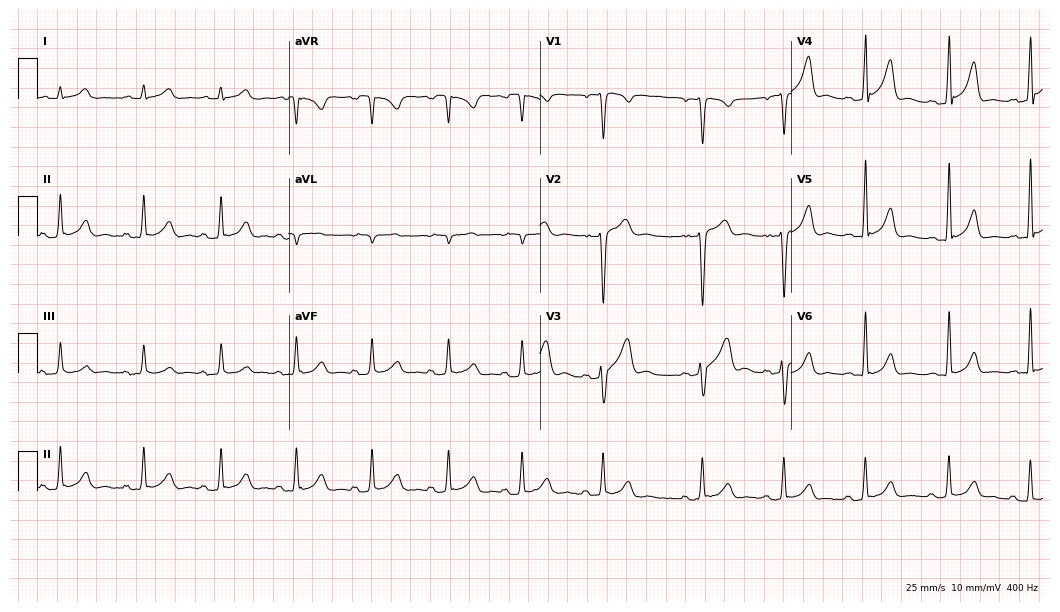
Electrocardiogram (10.2-second recording at 400 Hz), a 40-year-old male. Overall reading on record: normal ECG.